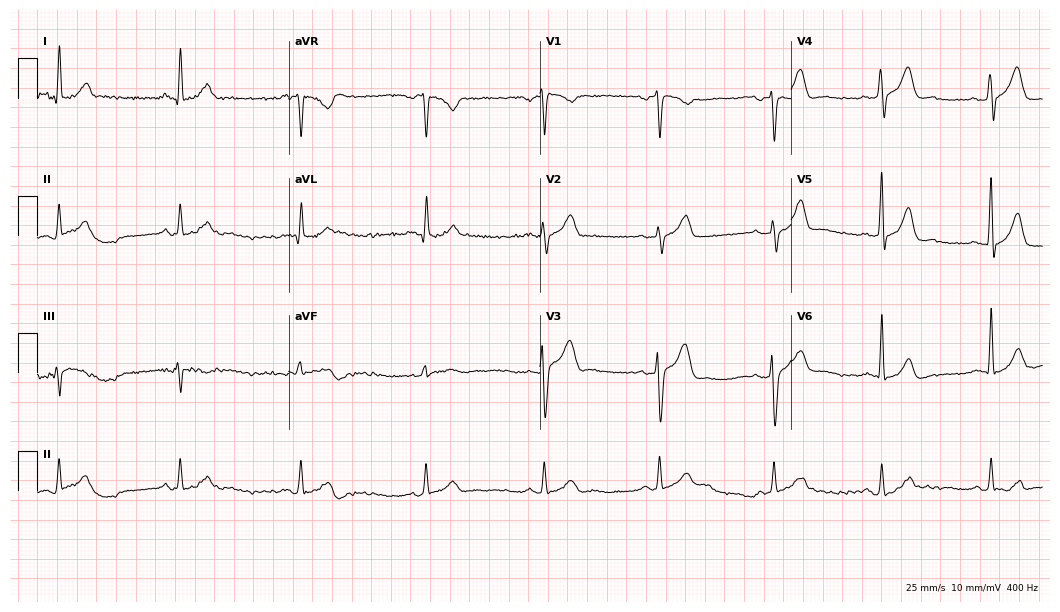
12-lead ECG from a male, 48 years old. Labelled as a normal ECG.